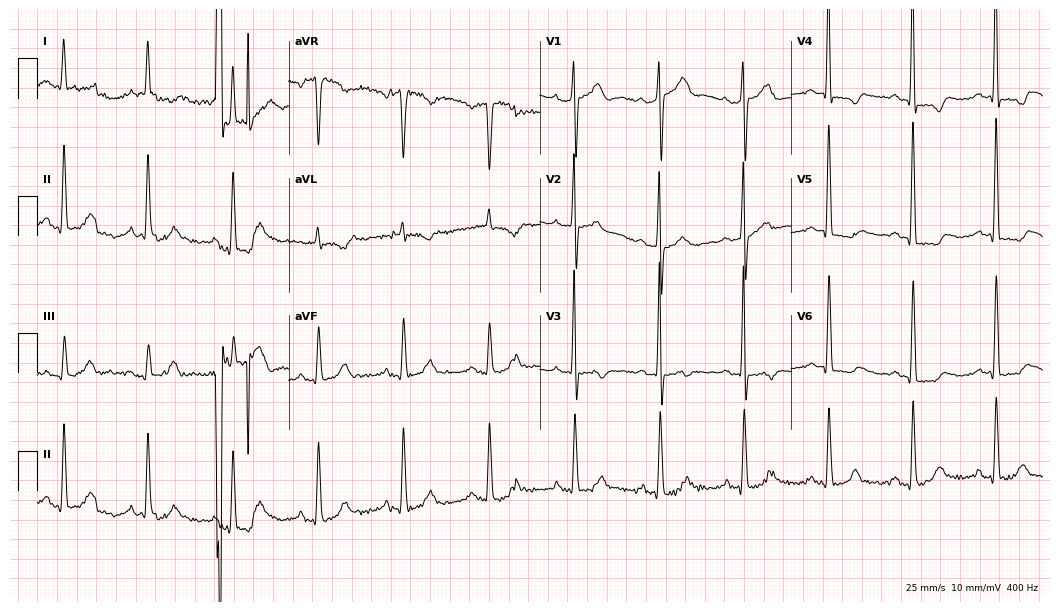
12-lead ECG from a man, 82 years old. No first-degree AV block, right bundle branch block, left bundle branch block, sinus bradycardia, atrial fibrillation or sinus tachycardia recorded for this tracing.